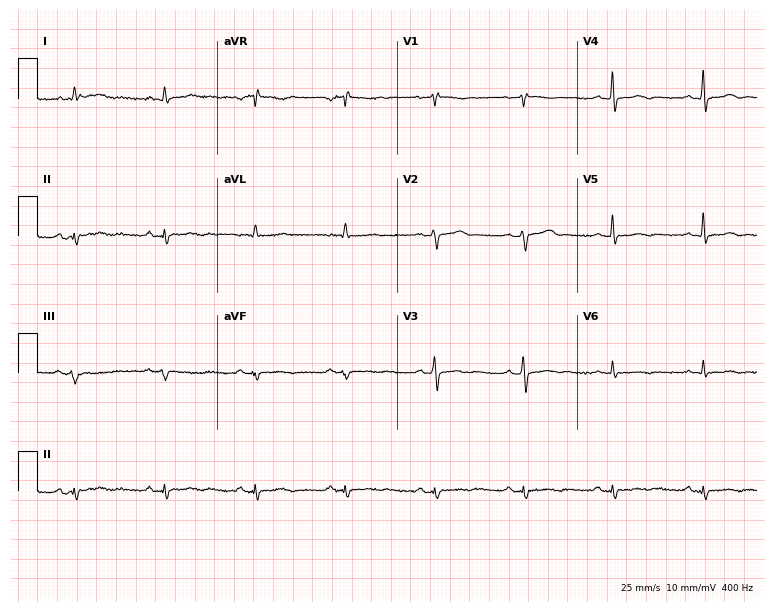
12-lead ECG from a female patient, 64 years old. Screened for six findings — first-degree AV block, right bundle branch block (RBBB), left bundle branch block (LBBB), sinus bradycardia, atrial fibrillation (AF), sinus tachycardia — none is recorded.